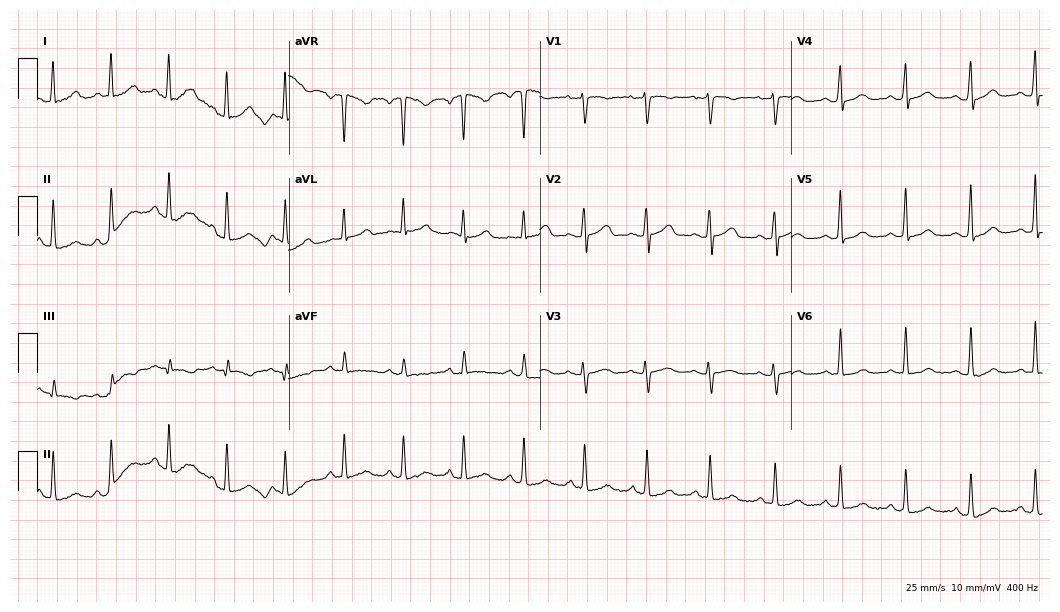
Resting 12-lead electrocardiogram (10.2-second recording at 400 Hz). Patient: a female, 47 years old. None of these six findings is recorded: first-degree AV block, right bundle branch block, left bundle branch block, sinus bradycardia, atrial fibrillation, sinus tachycardia. Findings outside these six are not listed.